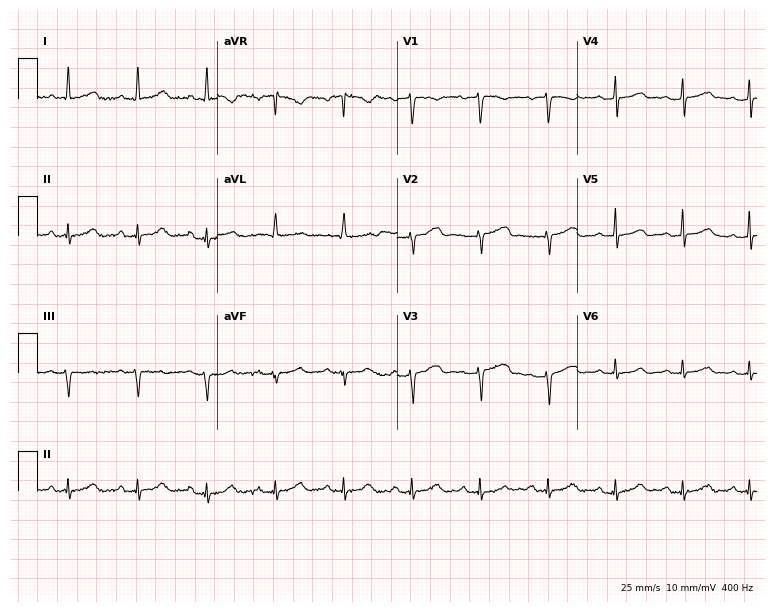
Electrocardiogram, a 49-year-old female patient. Overall reading on record: normal ECG.